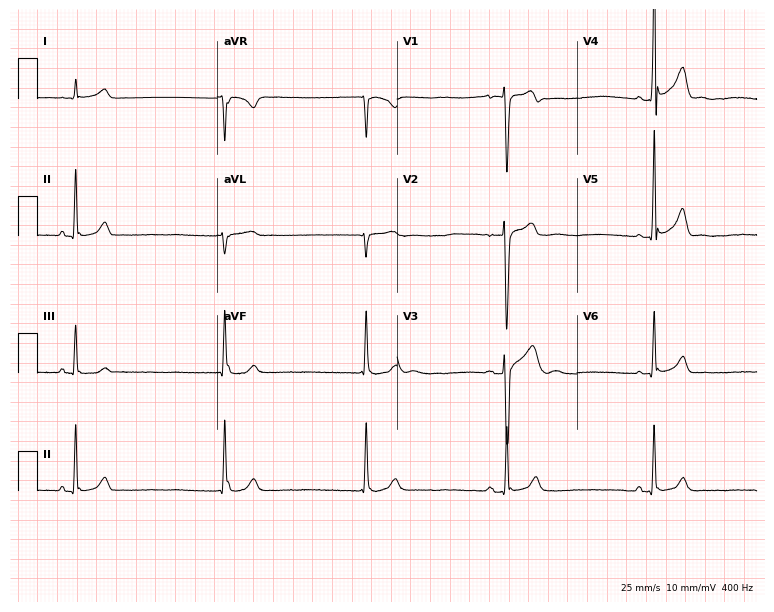
ECG — an 18-year-old male patient. Findings include sinus bradycardia (a sinus rate of 50 beats per minute or less).